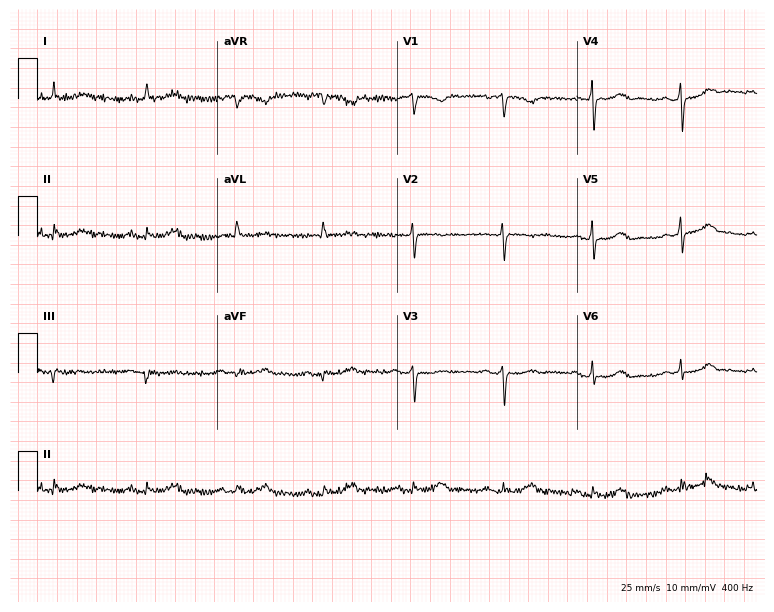
12-lead ECG from a 66-year-old woman. No first-degree AV block, right bundle branch block, left bundle branch block, sinus bradycardia, atrial fibrillation or sinus tachycardia recorded for this tracing.